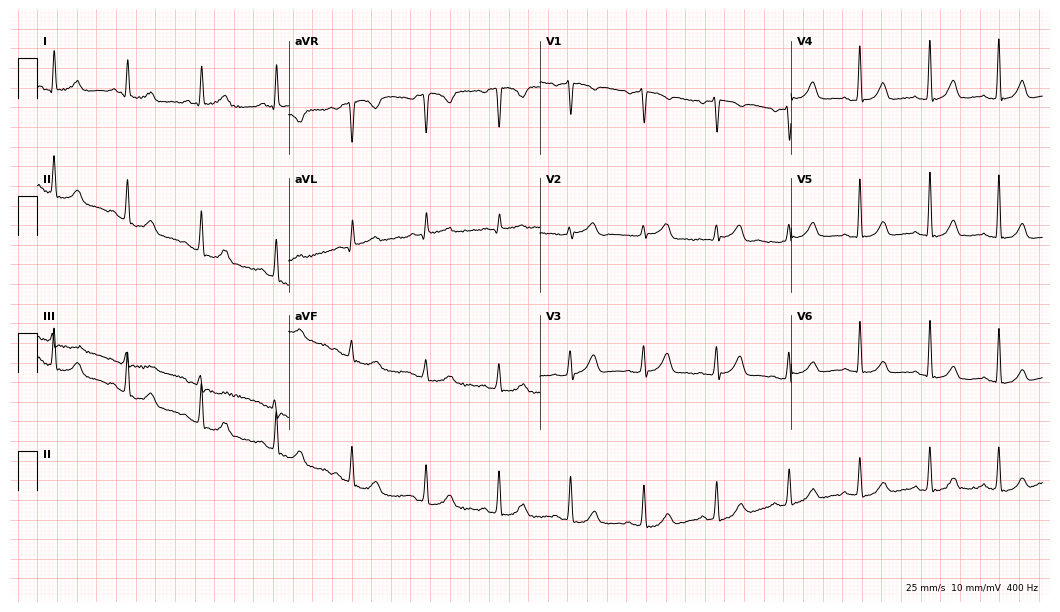
Electrocardiogram (10.2-second recording at 400 Hz), a female, 61 years old. Overall reading on record: normal ECG.